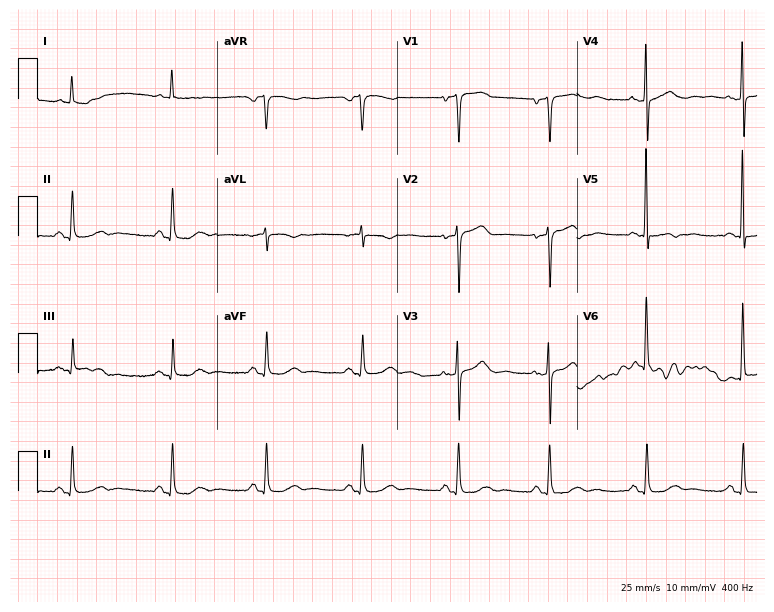
Resting 12-lead electrocardiogram (7.3-second recording at 400 Hz). Patient: a 73-year-old male. None of these six findings is recorded: first-degree AV block, right bundle branch block, left bundle branch block, sinus bradycardia, atrial fibrillation, sinus tachycardia. Only these six findings were labelled.